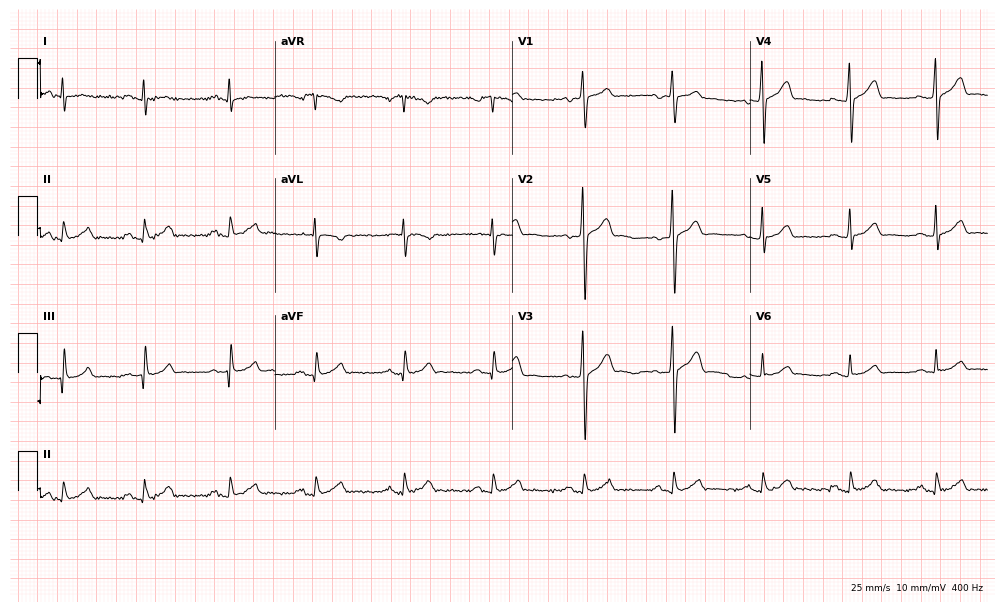
12-lead ECG from a male, 33 years old. Labelled as a normal ECG.